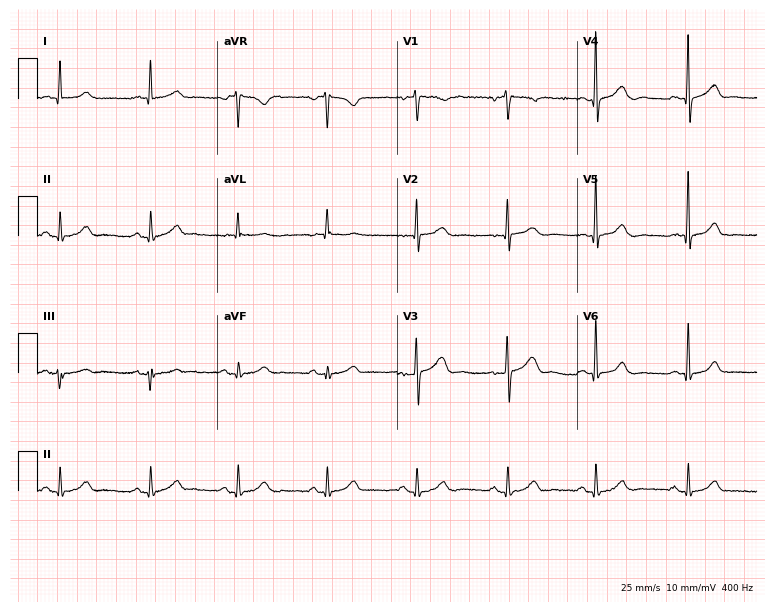
12-lead ECG from a 59-year-old woman. Recorded interpretation: within normal limits.